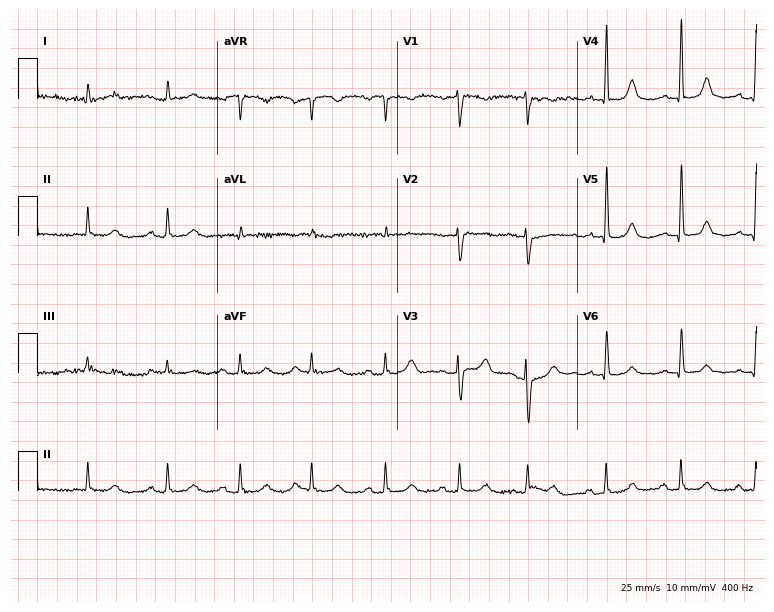
Resting 12-lead electrocardiogram (7.3-second recording at 400 Hz). Patient: a female, 78 years old. Read as a normal ECG.